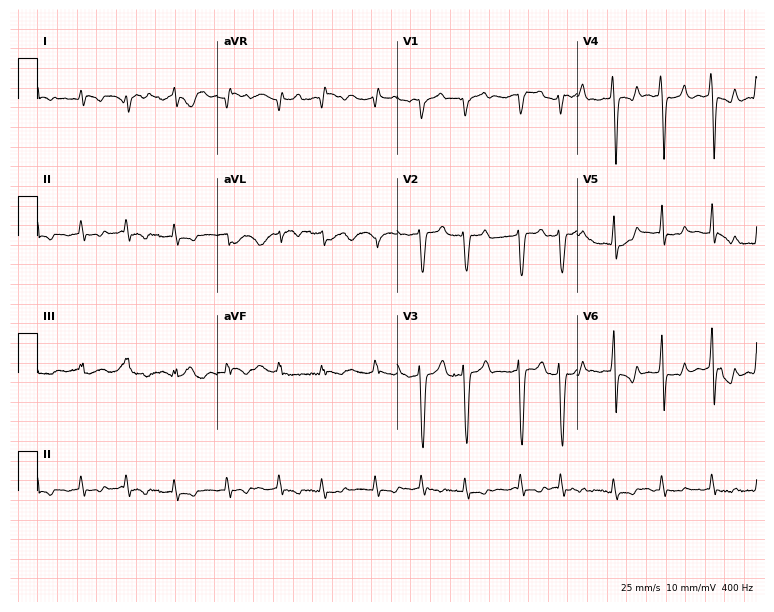
12-lead ECG from a male, 70 years old (7.3-second recording at 400 Hz). Shows atrial fibrillation.